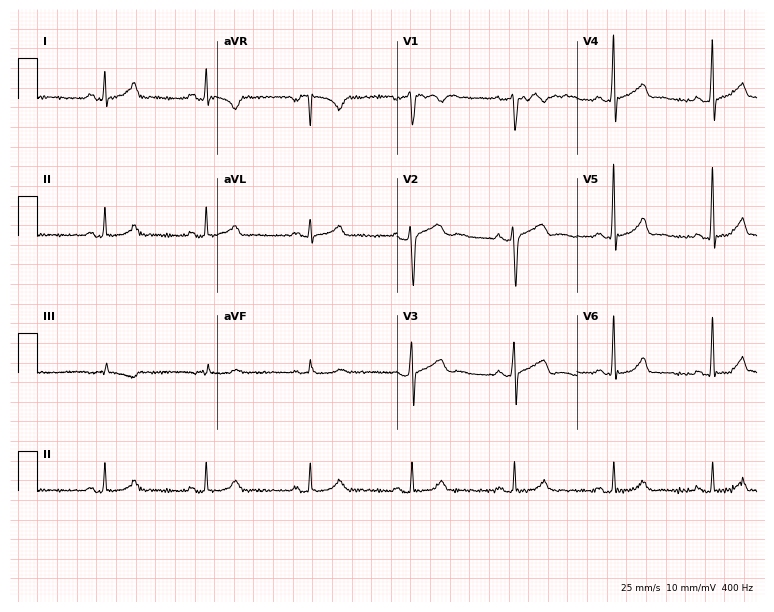
12-lead ECG from a 41-year-old man. Screened for six findings — first-degree AV block, right bundle branch block, left bundle branch block, sinus bradycardia, atrial fibrillation, sinus tachycardia — none is recorded.